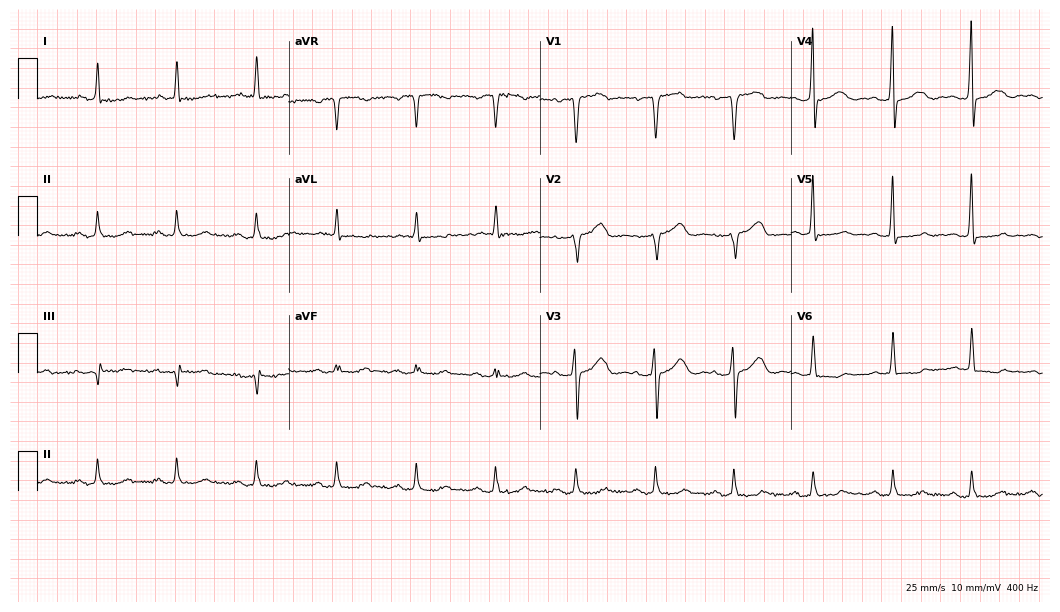
12-lead ECG from a 65-year-old woman. No first-degree AV block, right bundle branch block (RBBB), left bundle branch block (LBBB), sinus bradycardia, atrial fibrillation (AF) or sinus tachycardia recorded for this tracing. Findings outside these six are not listed.